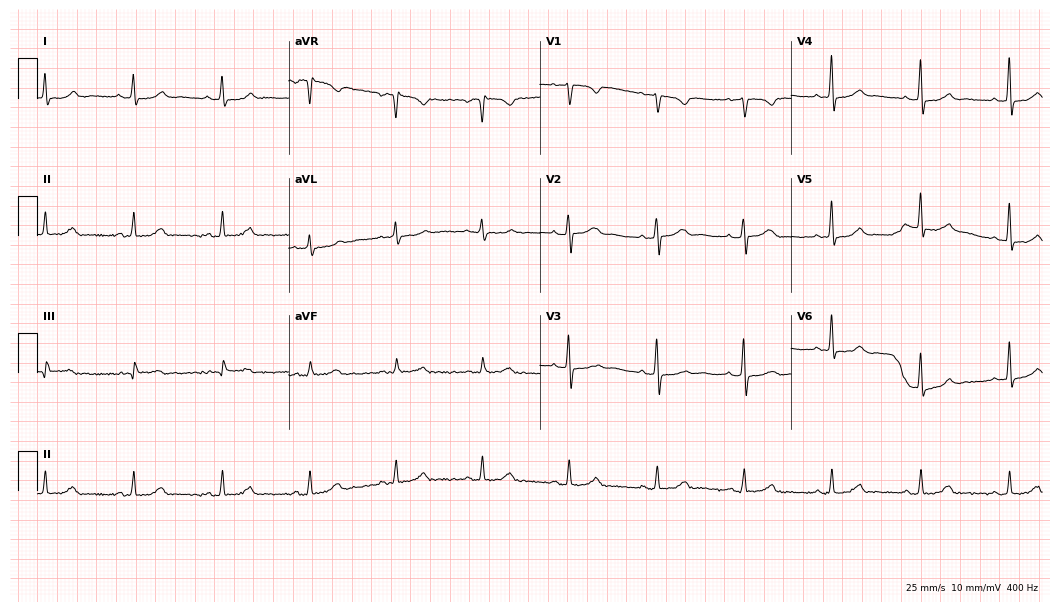
12-lead ECG from a 47-year-old female. Labelled as a normal ECG.